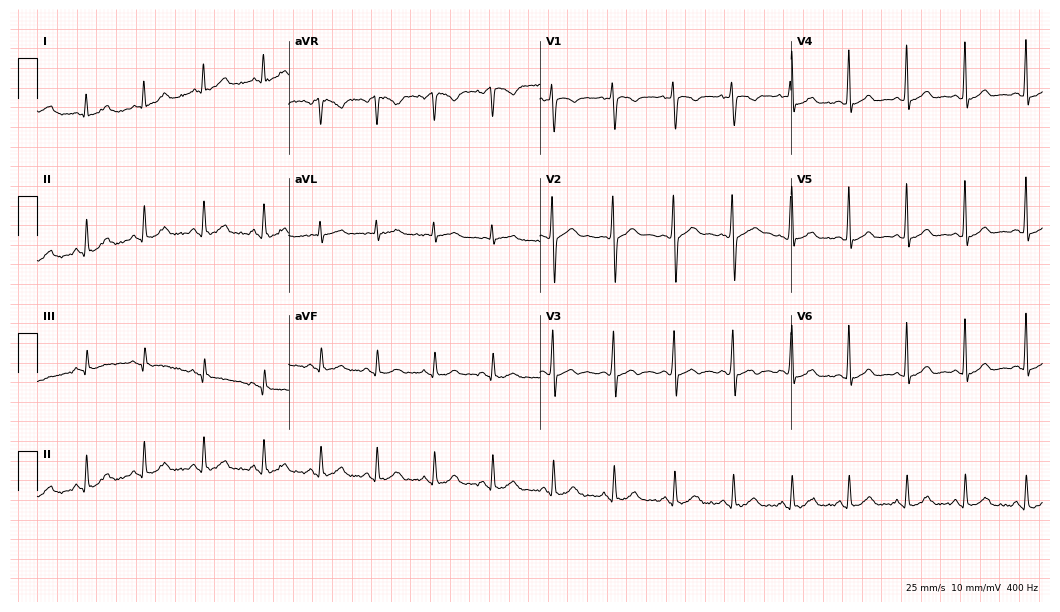
Standard 12-lead ECG recorded from a male, 17 years old (10.2-second recording at 400 Hz). The tracing shows sinus tachycardia (a sinus rate of 100 beats per minute or more).